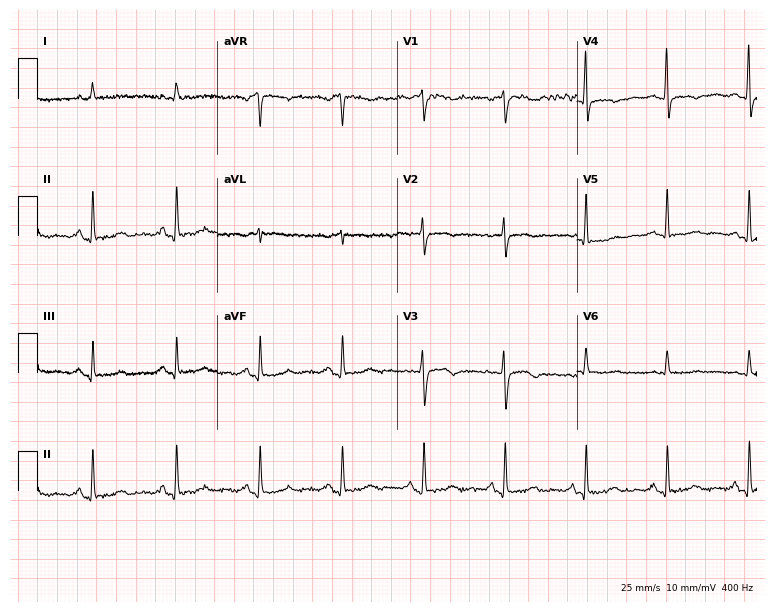
Electrocardiogram, a female, 57 years old. Of the six screened findings (first-degree AV block, right bundle branch block (RBBB), left bundle branch block (LBBB), sinus bradycardia, atrial fibrillation (AF), sinus tachycardia), none is recorded. Other findings, if any, are not listed.